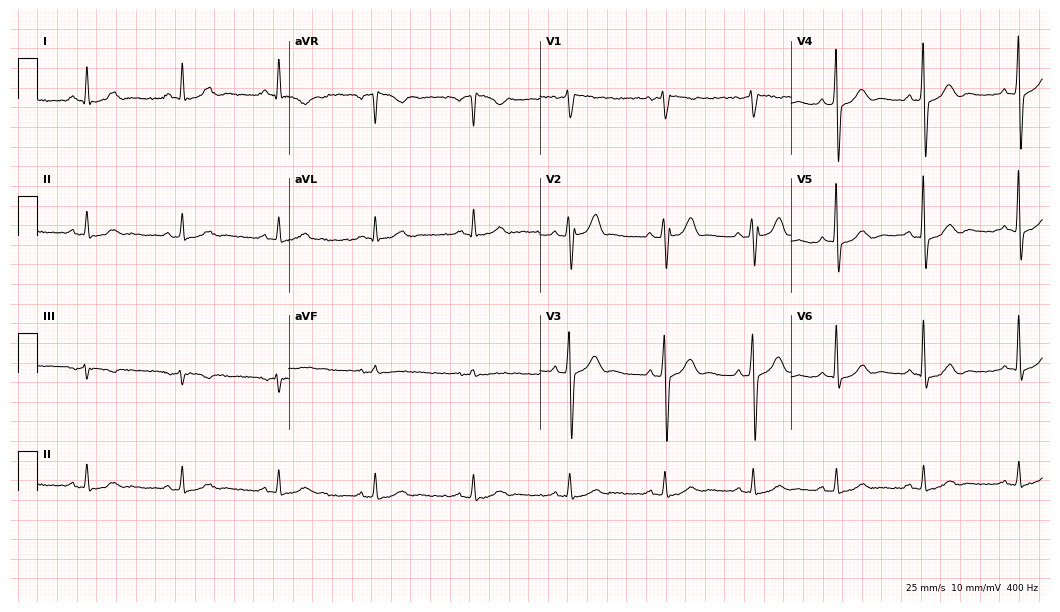
ECG — a man, 59 years old. Labelled as a normal ECG.